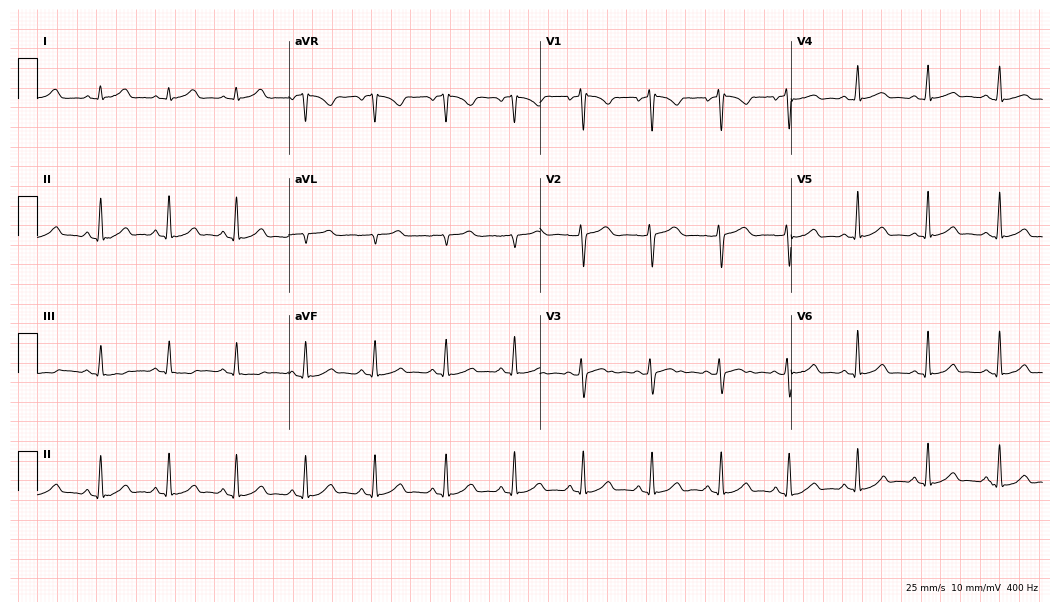
12-lead ECG from a woman, 30 years old. Labelled as a normal ECG.